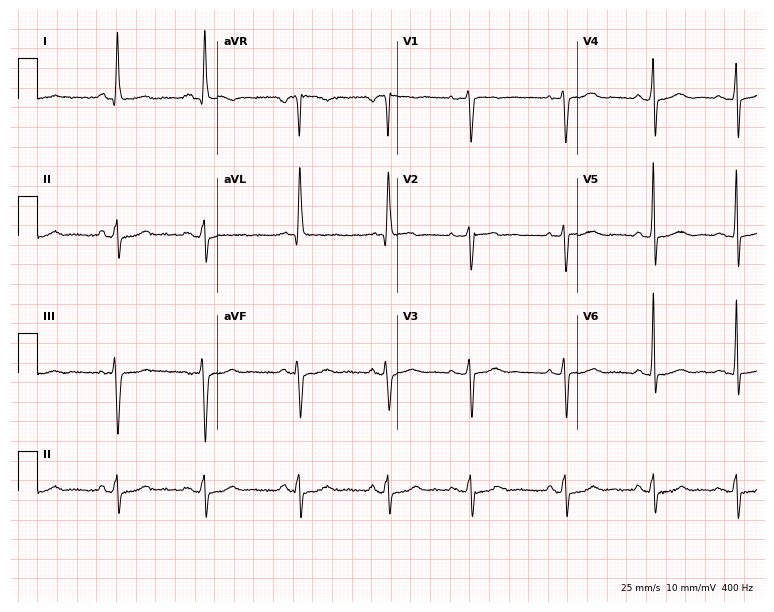
12-lead ECG from a female patient, 76 years old (7.3-second recording at 400 Hz). No first-degree AV block, right bundle branch block (RBBB), left bundle branch block (LBBB), sinus bradycardia, atrial fibrillation (AF) or sinus tachycardia recorded for this tracing. Findings outside these six are not listed.